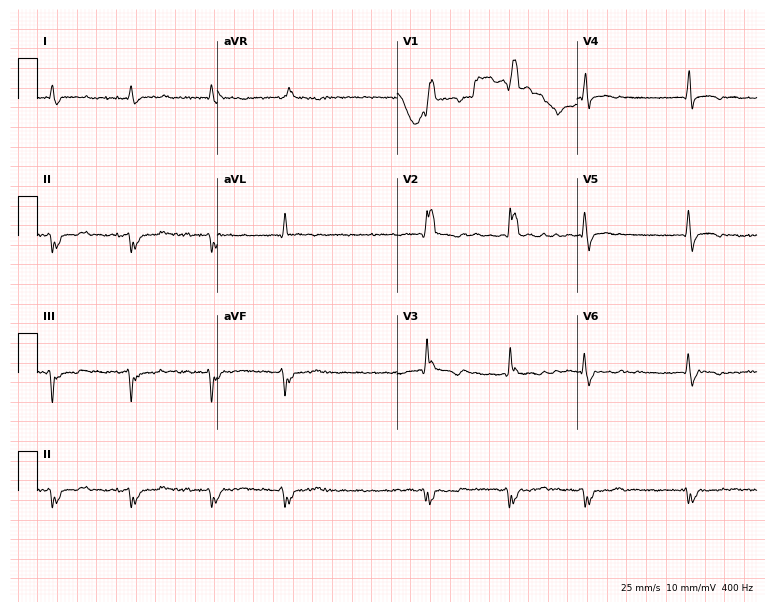
Standard 12-lead ECG recorded from a 69-year-old male patient (7.3-second recording at 400 Hz). The tracing shows right bundle branch block (RBBB), atrial fibrillation (AF).